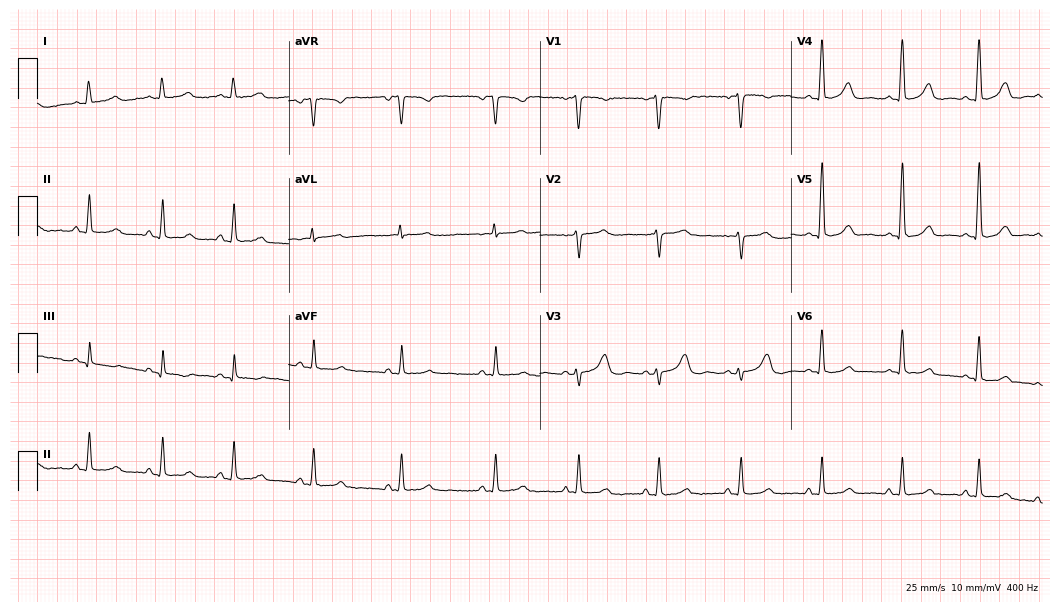
Standard 12-lead ECG recorded from a 35-year-old female patient (10.2-second recording at 400 Hz). None of these six findings is recorded: first-degree AV block, right bundle branch block, left bundle branch block, sinus bradycardia, atrial fibrillation, sinus tachycardia.